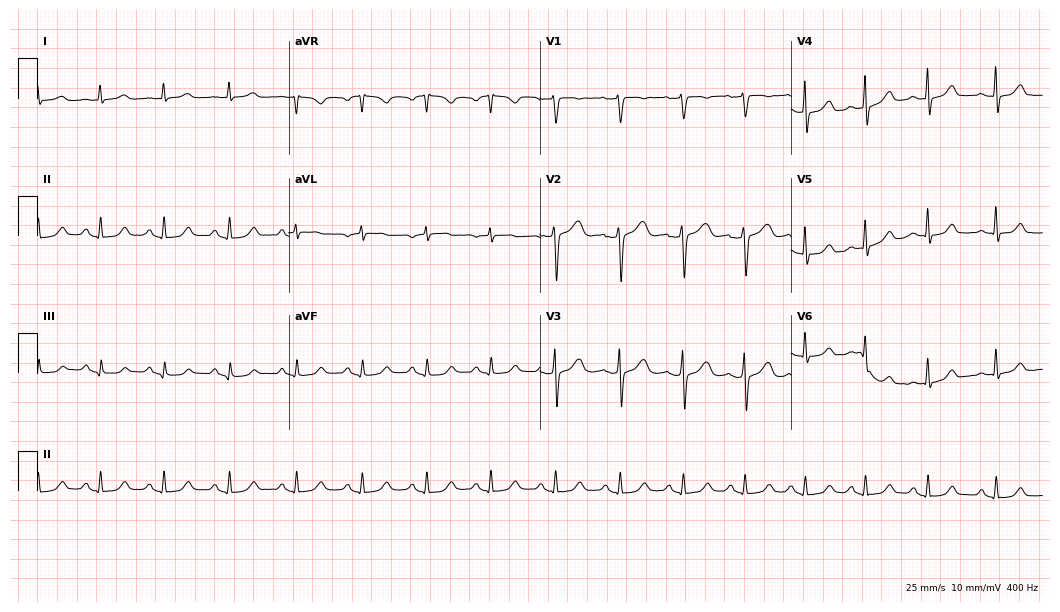
Standard 12-lead ECG recorded from a 36-year-old female patient (10.2-second recording at 400 Hz). Read as a normal ECG.